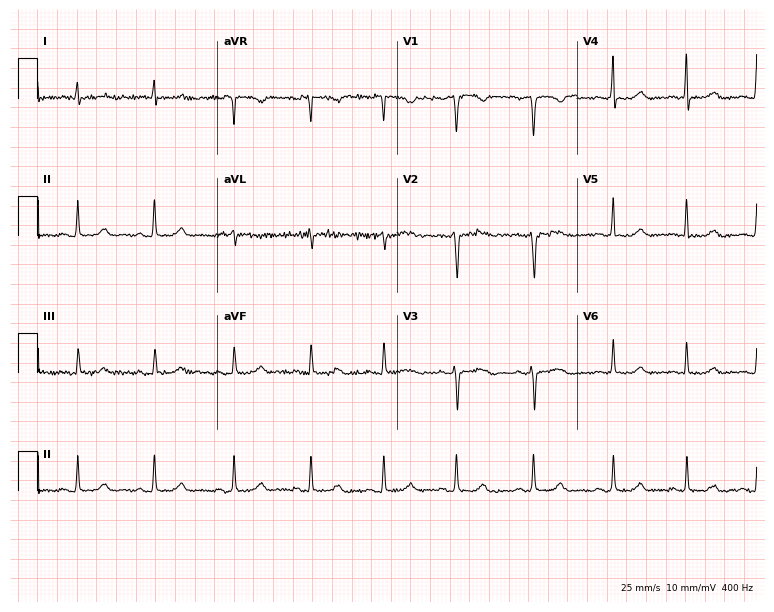
12-lead ECG from a female, 36 years old. Screened for six findings — first-degree AV block, right bundle branch block, left bundle branch block, sinus bradycardia, atrial fibrillation, sinus tachycardia — none is recorded.